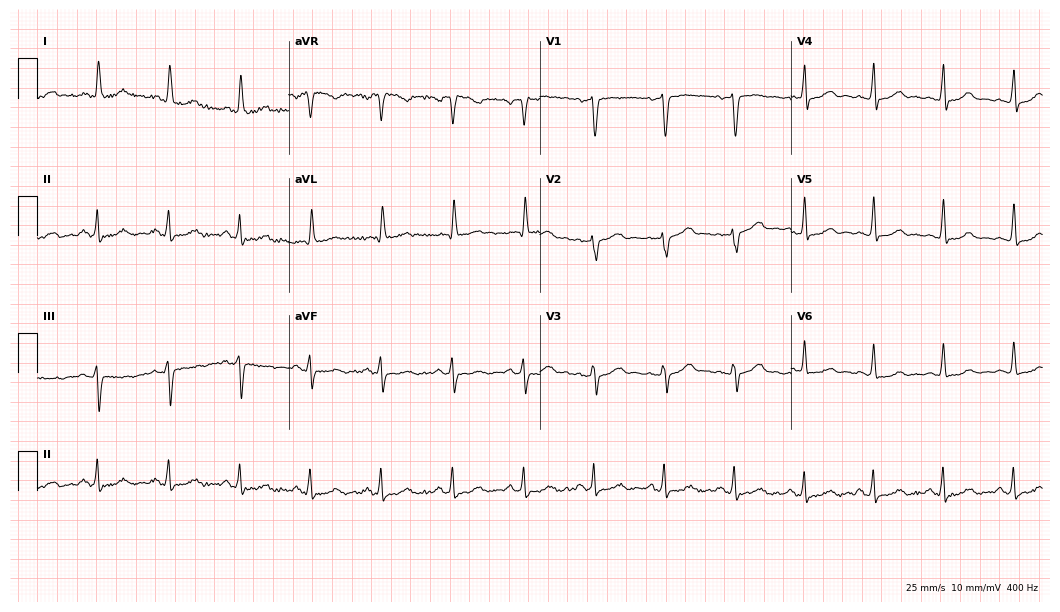
12-lead ECG (10.2-second recording at 400 Hz) from a 64-year-old female patient. Screened for six findings — first-degree AV block, right bundle branch block (RBBB), left bundle branch block (LBBB), sinus bradycardia, atrial fibrillation (AF), sinus tachycardia — none is recorded.